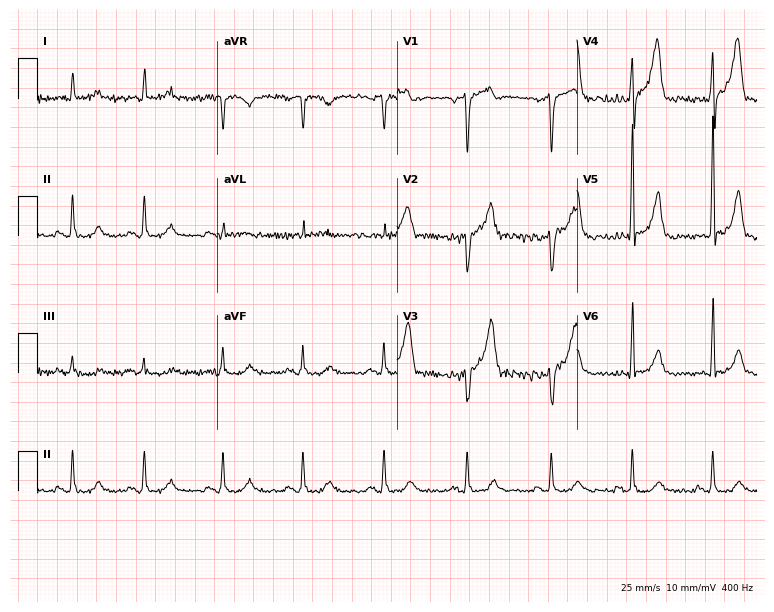
12-lead ECG from a male patient, 59 years old. No first-degree AV block, right bundle branch block, left bundle branch block, sinus bradycardia, atrial fibrillation or sinus tachycardia recorded for this tracing. Only these six findings were labelled.